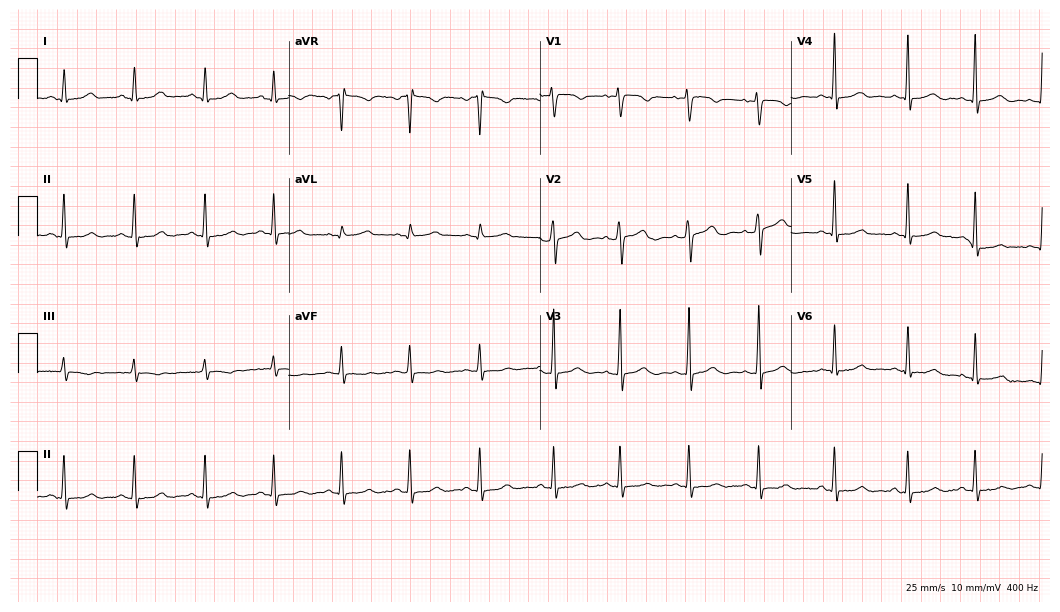
12-lead ECG from a female patient, 27 years old. Labelled as a normal ECG.